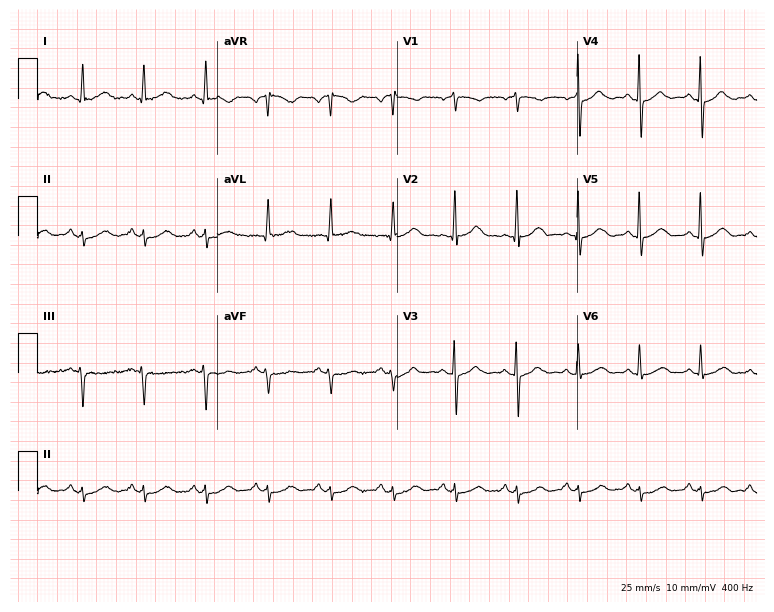
Resting 12-lead electrocardiogram. Patient: a 65-year-old woman. None of these six findings is recorded: first-degree AV block, right bundle branch block, left bundle branch block, sinus bradycardia, atrial fibrillation, sinus tachycardia. Only these six findings were labelled.